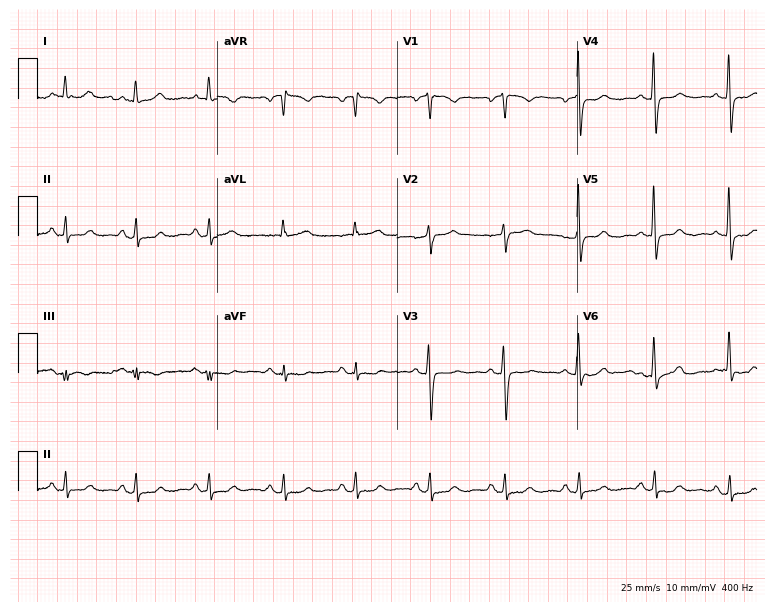
12-lead ECG (7.3-second recording at 400 Hz) from a 54-year-old woman. Labelled as a normal ECG.